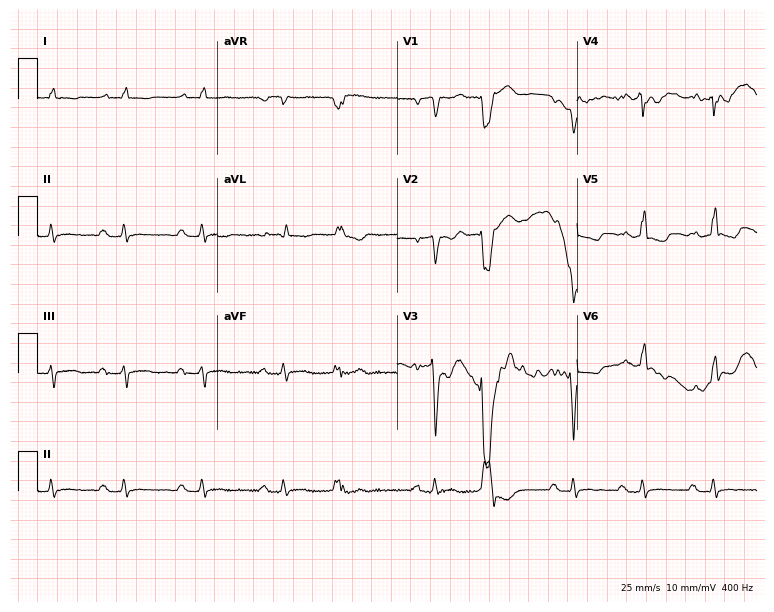
Electrocardiogram (7.3-second recording at 400 Hz), a 65-year-old male patient. Interpretation includes first-degree AV block.